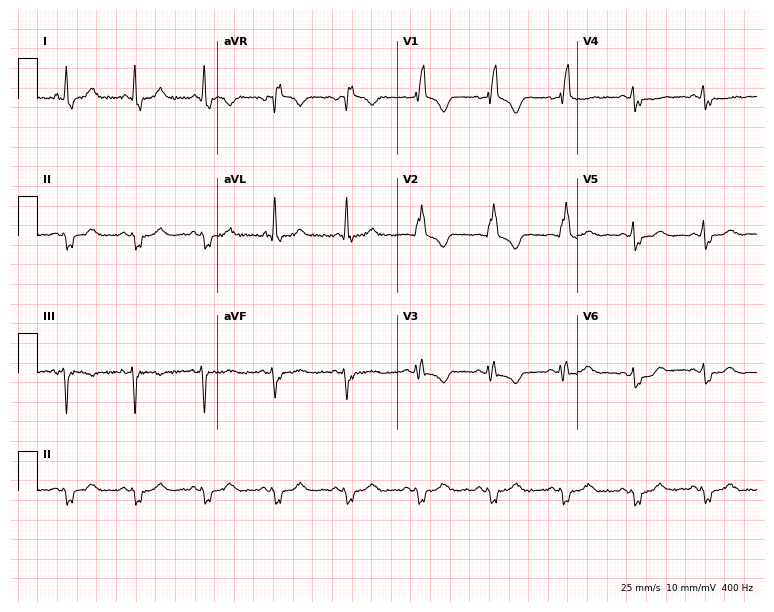
ECG — a 58-year-old female. Findings include right bundle branch block.